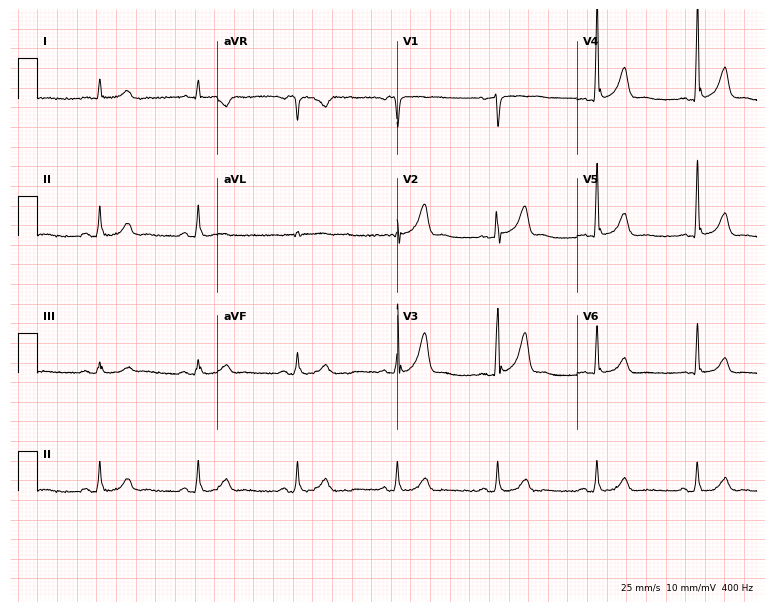
Resting 12-lead electrocardiogram. Patient: a male, 64 years old. Read as a normal ECG.